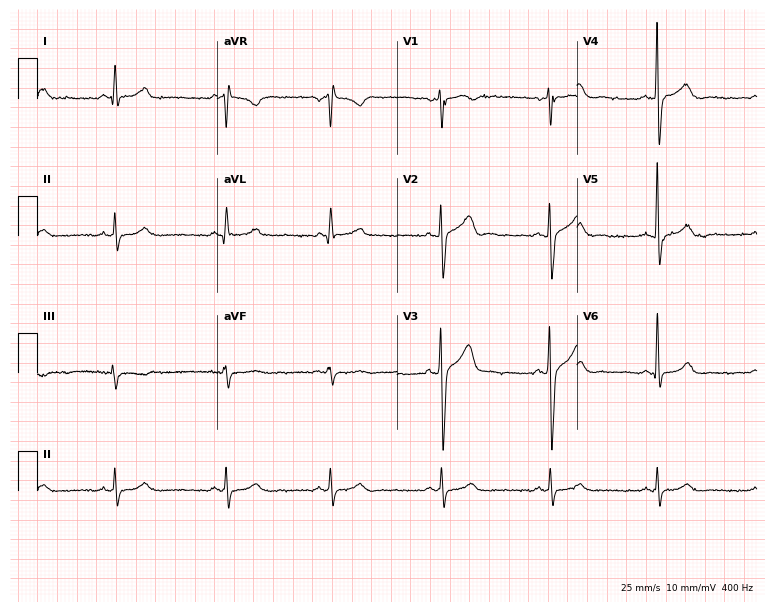
12-lead ECG from a 44-year-old man (7.3-second recording at 400 Hz). Recorded interpretation: within normal limits.